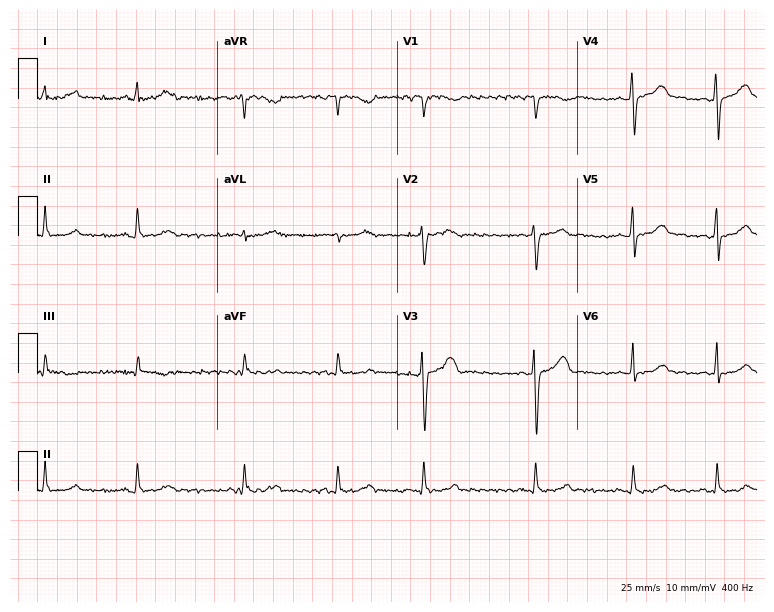
ECG (7.3-second recording at 400 Hz) — a female patient, 33 years old. Screened for six findings — first-degree AV block, right bundle branch block, left bundle branch block, sinus bradycardia, atrial fibrillation, sinus tachycardia — none is recorded.